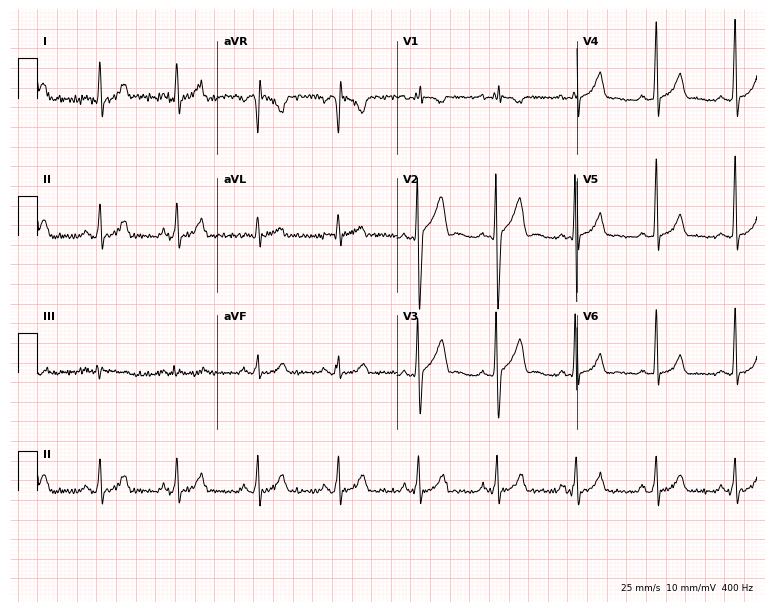
12-lead ECG from a 27-year-old male. No first-degree AV block, right bundle branch block, left bundle branch block, sinus bradycardia, atrial fibrillation or sinus tachycardia recorded for this tracing. Findings outside these six are not listed.